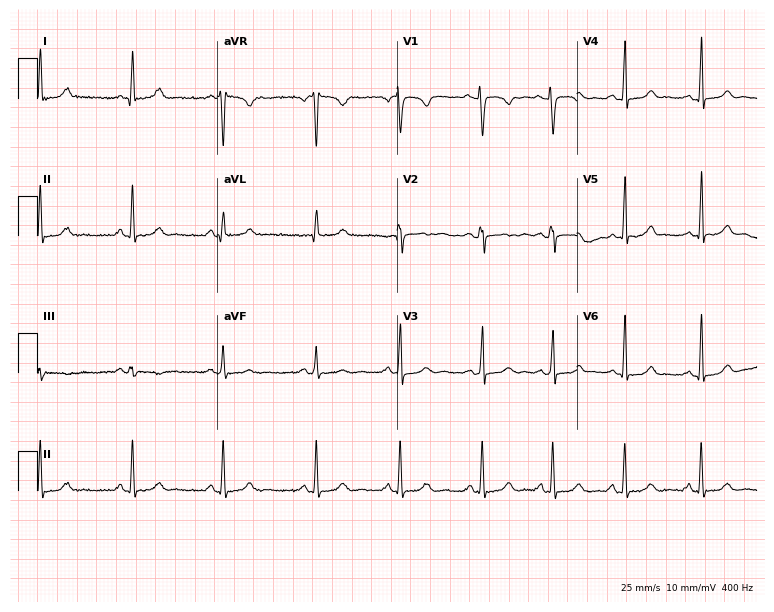
Standard 12-lead ECG recorded from a female patient, 18 years old (7.3-second recording at 400 Hz). Read as a normal ECG.